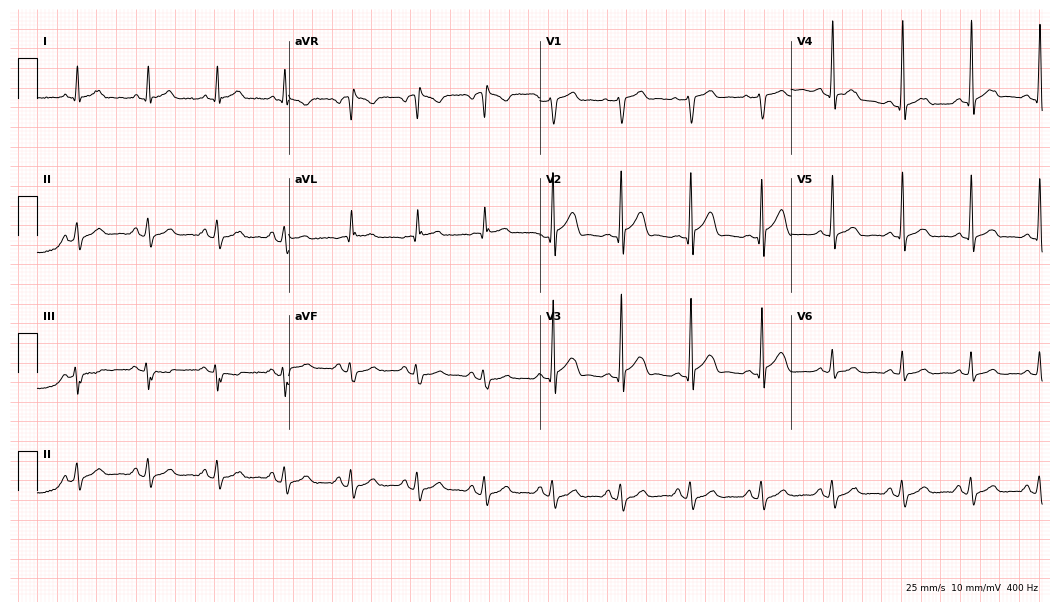
Resting 12-lead electrocardiogram (10.2-second recording at 400 Hz). Patient: a male, 51 years old. Read as a normal ECG.